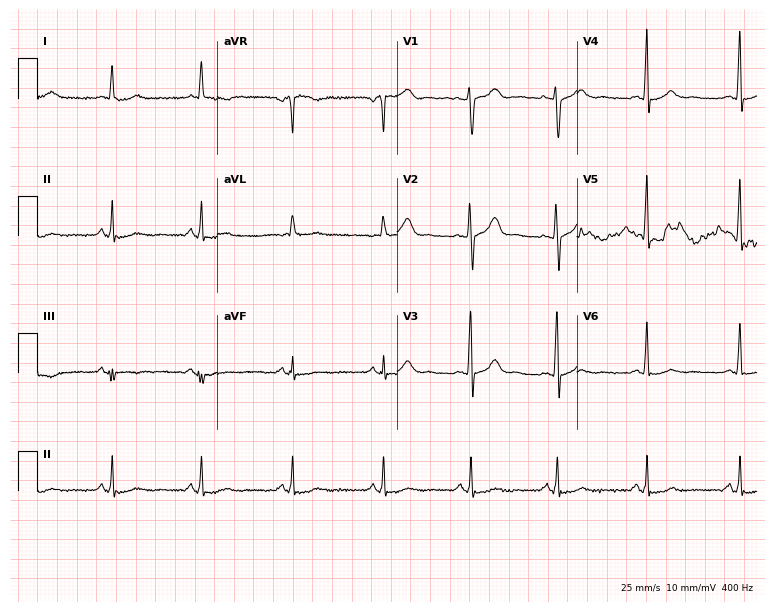
12-lead ECG from a 54-year-old female patient (7.3-second recording at 400 Hz). No first-degree AV block, right bundle branch block, left bundle branch block, sinus bradycardia, atrial fibrillation or sinus tachycardia recorded for this tracing.